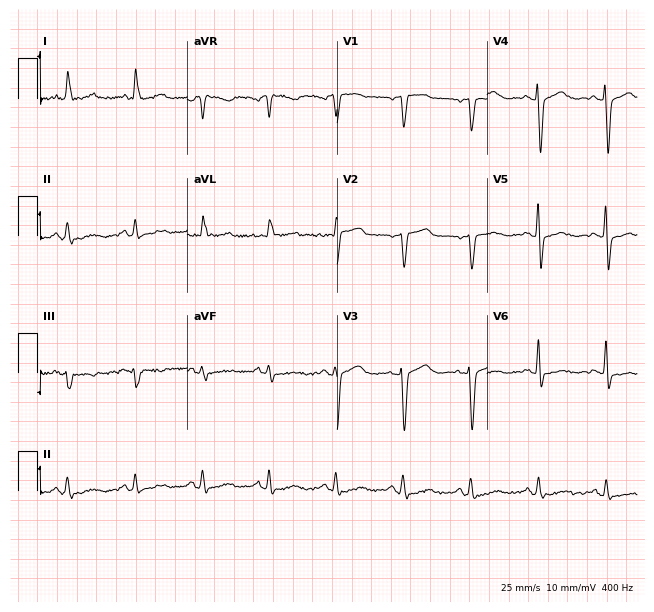
12-lead ECG from a woman, 63 years old. Screened for six findings — first-degree AV block, right bundle branch block, left bundle branch block, sinus bradycardia, atrial fibrillation, sinus tachycardia — none is recorded.